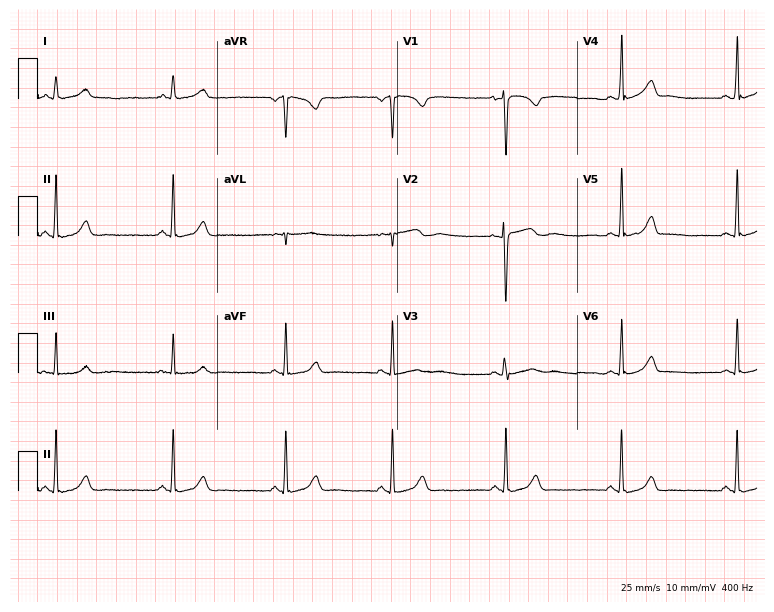
Standard 12-lead ECG recorded from a 23-year-old female patient (7.3-second recording at 400 Hz). Read as a normal ECG.